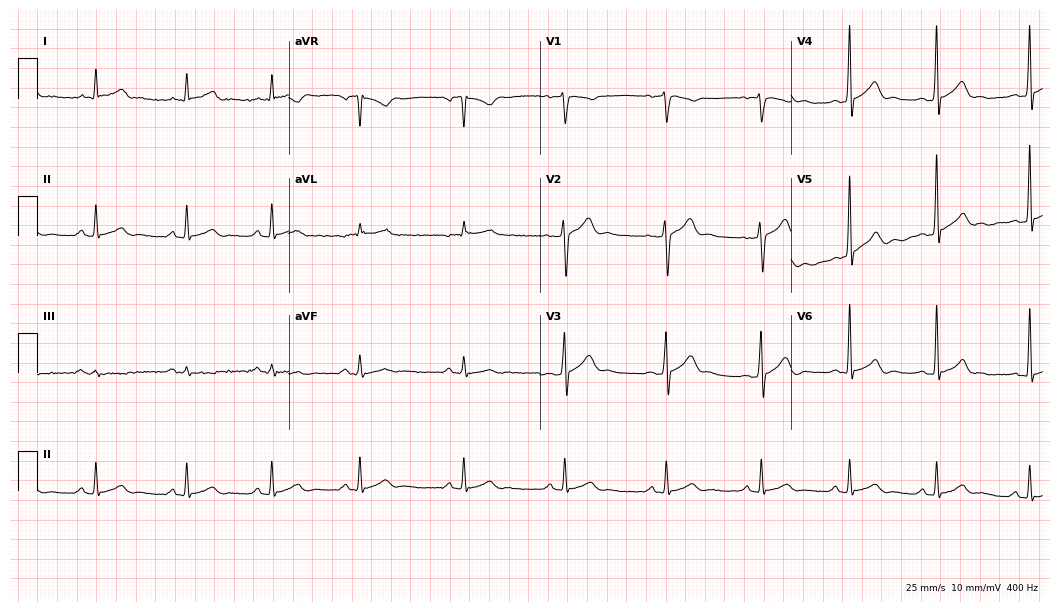
12-lead ECG (10.2-second recording at 400 Hz) from a 31-year-old male. Screened for six findings — first-degree AV block, right bundle branch block (RBBB), left bundle branch block (LBBB), sinus bradycardia, atrial fibrillation (AF), sinus tachycardia — none is recorded.